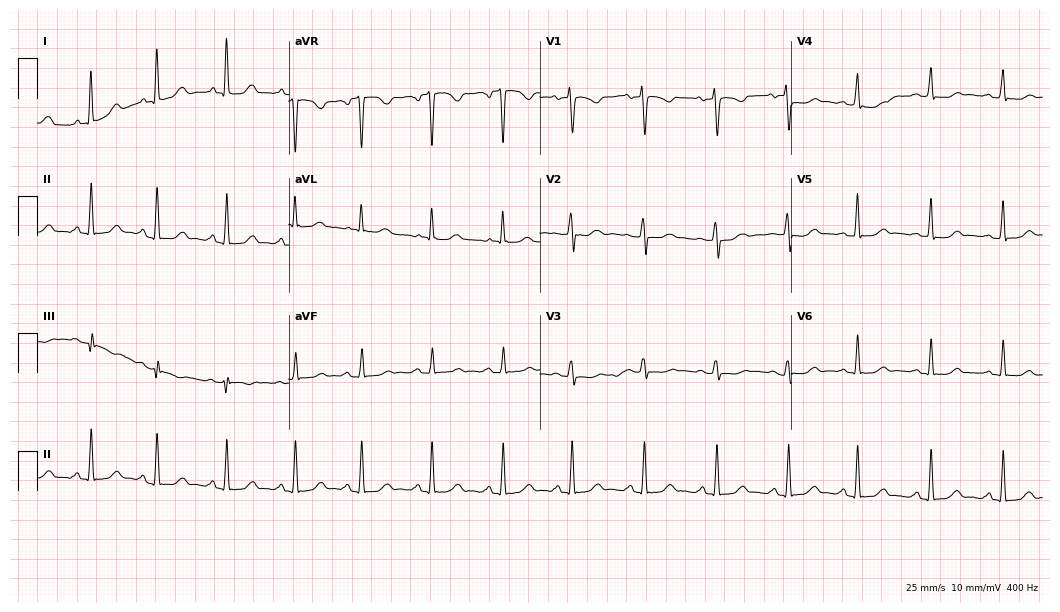
12-lead ECG (10.2-second recording at 400 Hz) from a 28-year-old female patient. Labelled as a normal ECG.